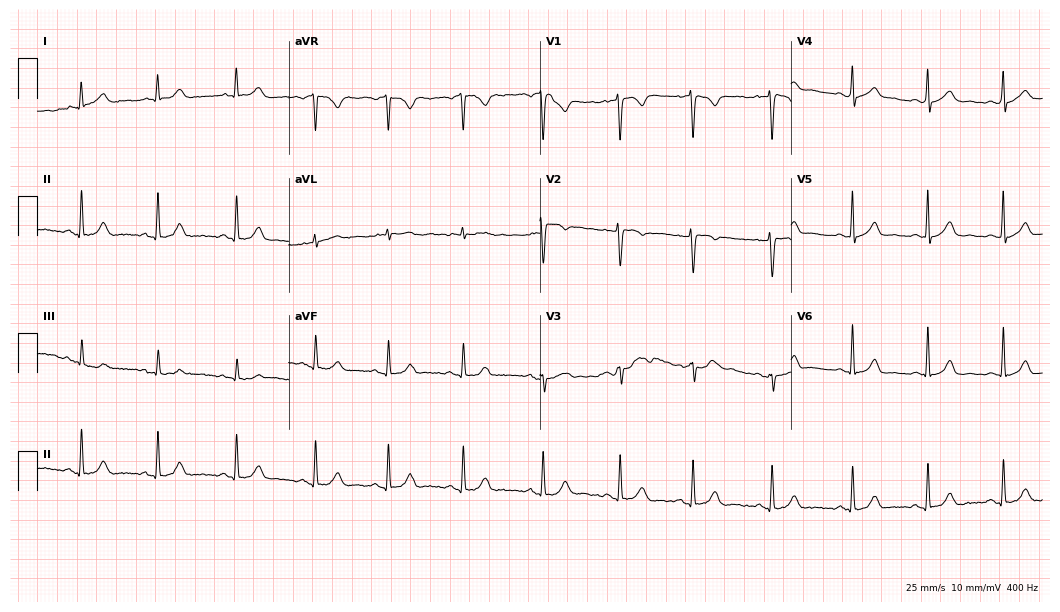
12-lead ECG (10.2-second recording at 400 Hz) from a woman, 28 years old. Screened for six findings — first-degree AV block, right bundle branch block, left bundle branch block, sinus bradycardia, atrial fibrillation, sinus tachycardia — none is recorded.